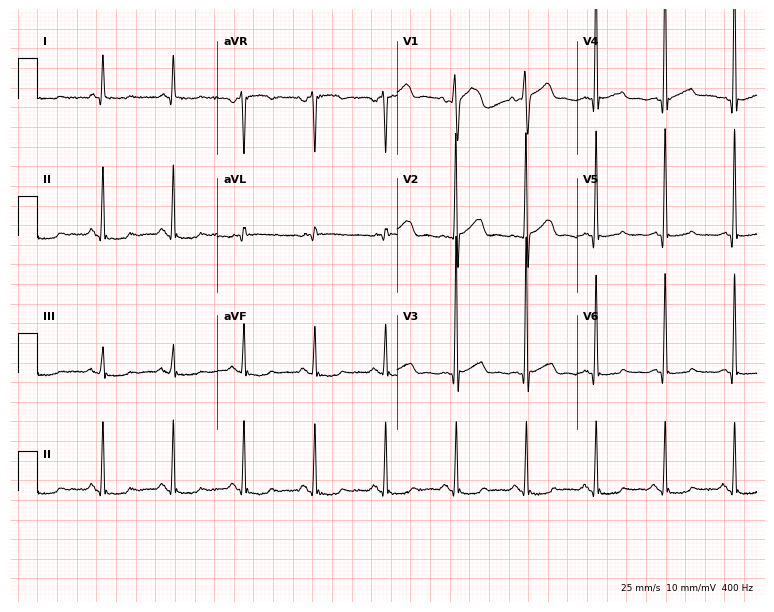
12-lead ECG from a male patient, 79 years old. Screened for six findings — first-degree AV block, right bundle branch block, left bundle branch block, sinus bradycardia, atrial fibrillation, sinus tachycardia — none is recorded.